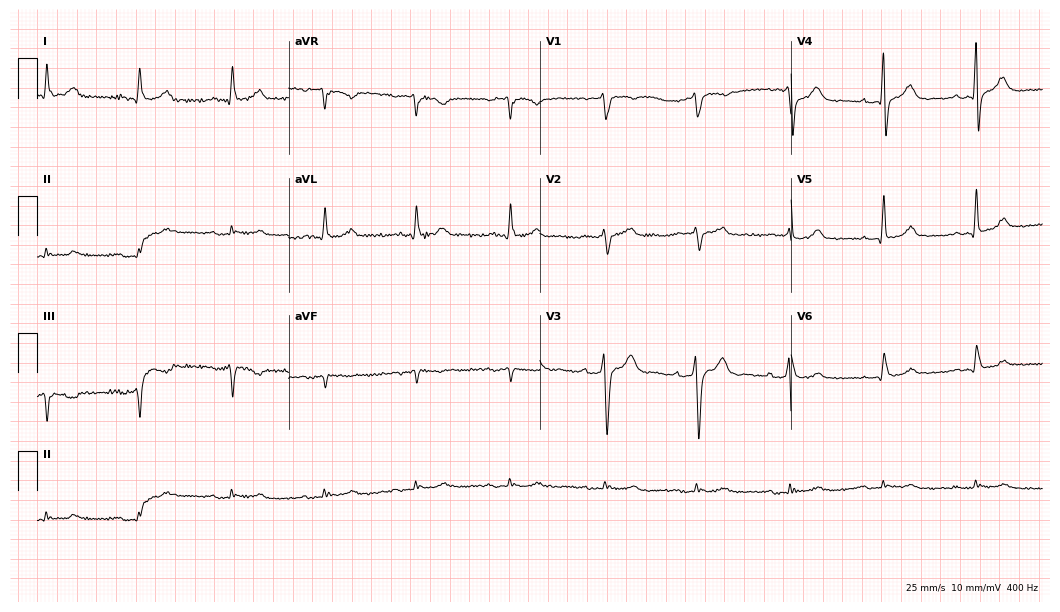
Resting 12-lead electrocardiogram. Patient: a 64-year-old woman. None of these six findings is recorded: first-degree AV block, right bundle branch block, left bundle branch block, sinus bradycardia, atrial fibrillation, sinus tachycardia. Only these six findings were labelled.